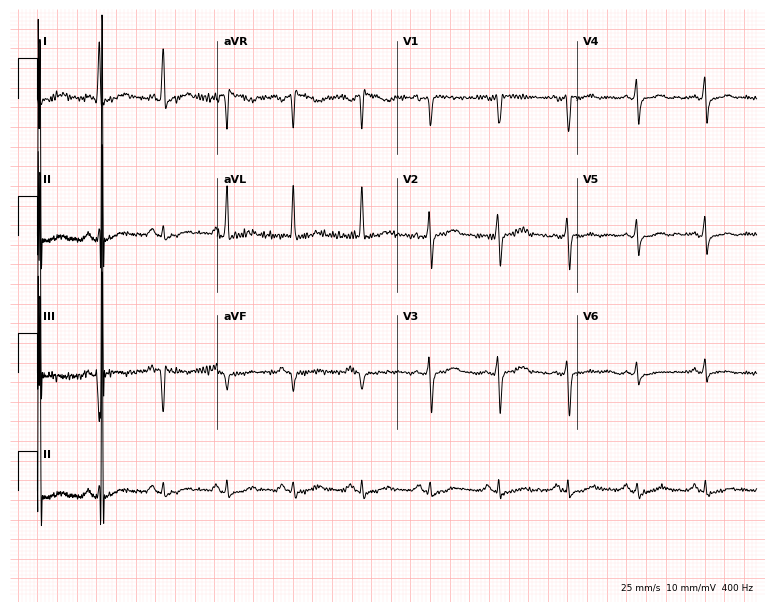
ECG — a female, 47 years old. Screened for six findings — first-degree AV block, right bundle branch block (RBBB), left bundle branch block (LBBB), sinus bradycardia, atrial fibrillation (AF), sinus tachycardia — none is recorded. Findings outside these six are not listed.